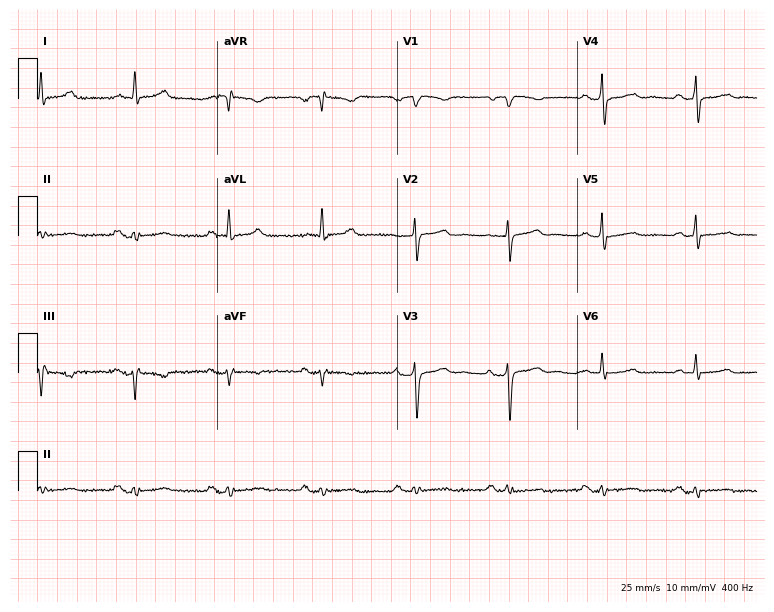
12-lead ECG from a 66-year-old woman. Labelled as a normal ECG.